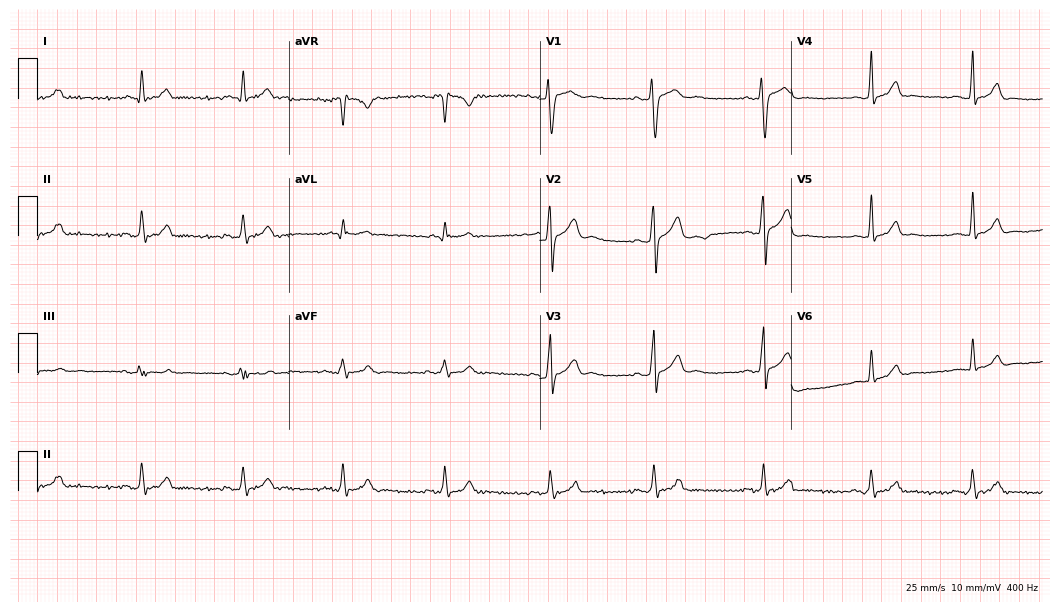
12-lead ECG (10.2-second recording at 400 Hz) from a 20-year-old male patient. Labelled as a normal ECG.